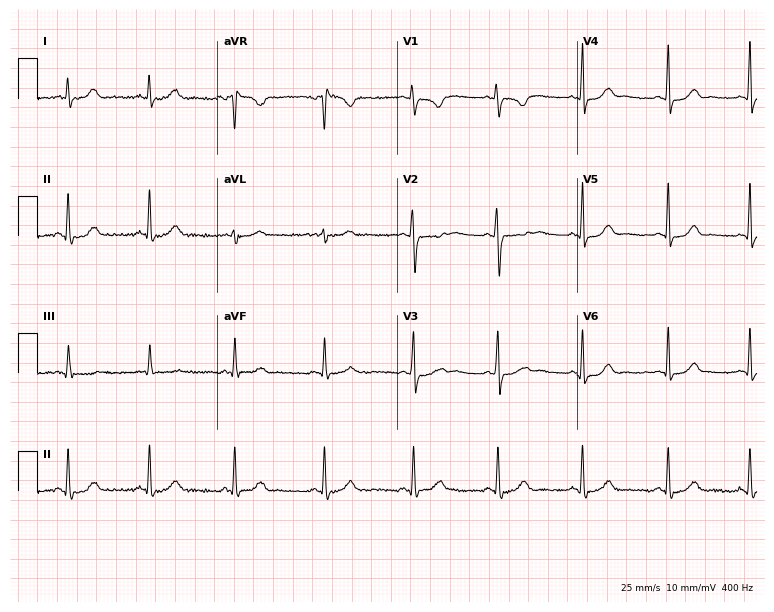
Standard 12-lead ECG recorded from a woman, 28 years old (7.3-second recording at 400 Hz). Read as a normal ECG.